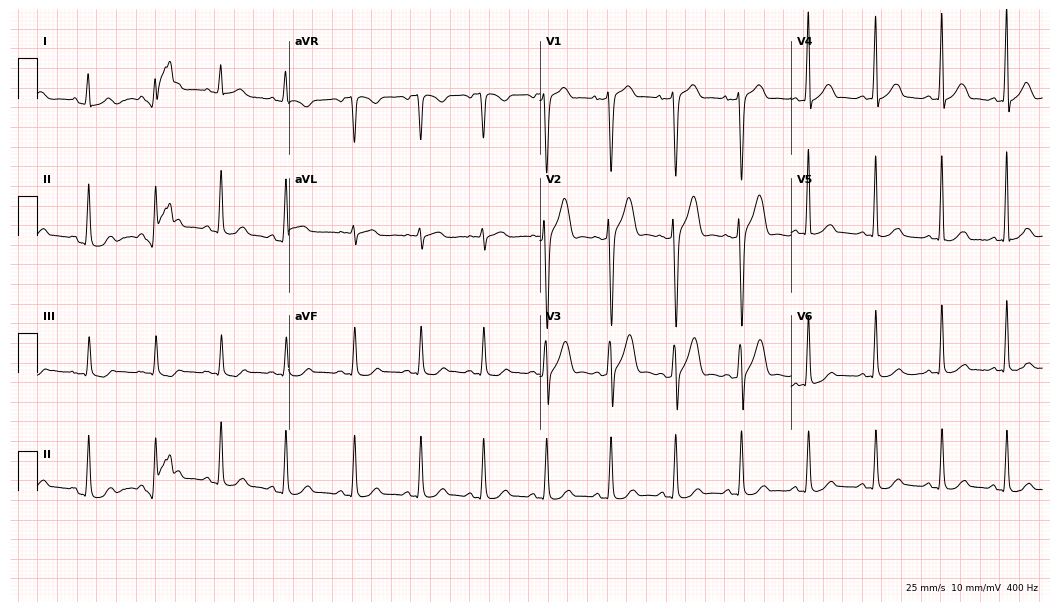
Standard 12-lead ECG recorded from a male patient, 43 years old (10.2-second recording at 400 Hz). Read as a normal ECG.